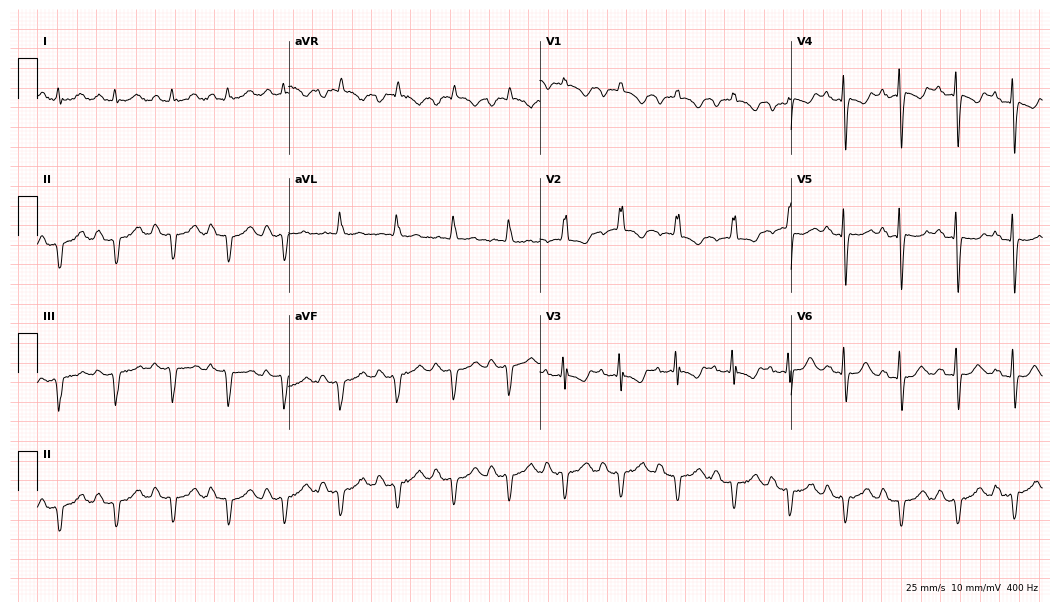
Electrocardiogram (10.2-second recording at 400 Hz), a 50-year-old male. Of the six screened findings (first-degree AV block, right bundle branch block, left bundle branch block, sinus bradycardia, atrial fibrillation, sinus tachycardia), none is recorded. Findings outside these six are not listed.